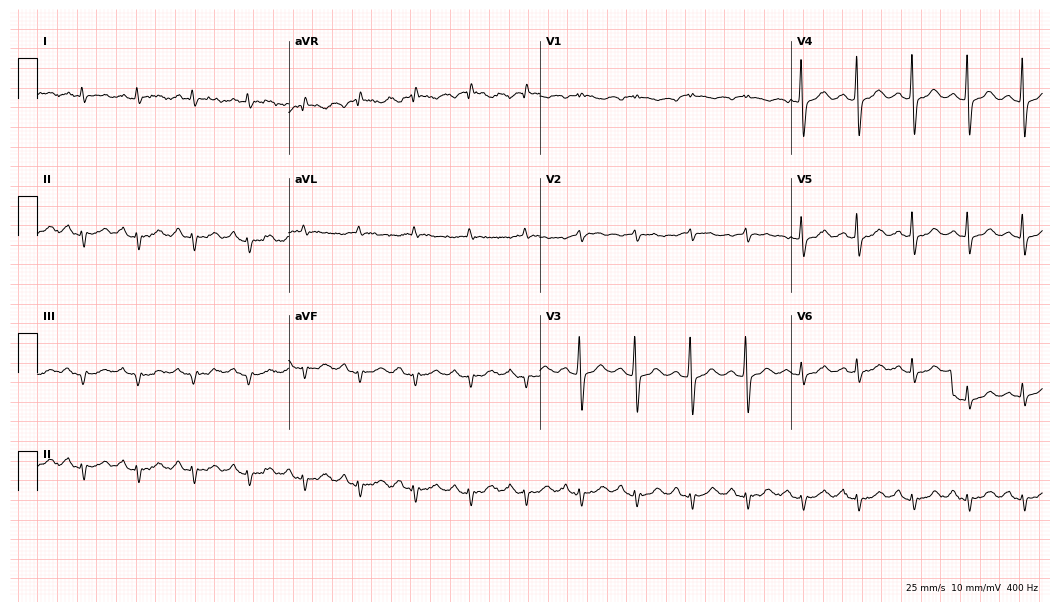
12-lead ECG from a female, 66 years old. Screened for six findings — first-degree AV block, right bundle branch block, left bundle branch block, sinus bradycardia, atrial fibrillation, sinus tachycardia — none is recorded.